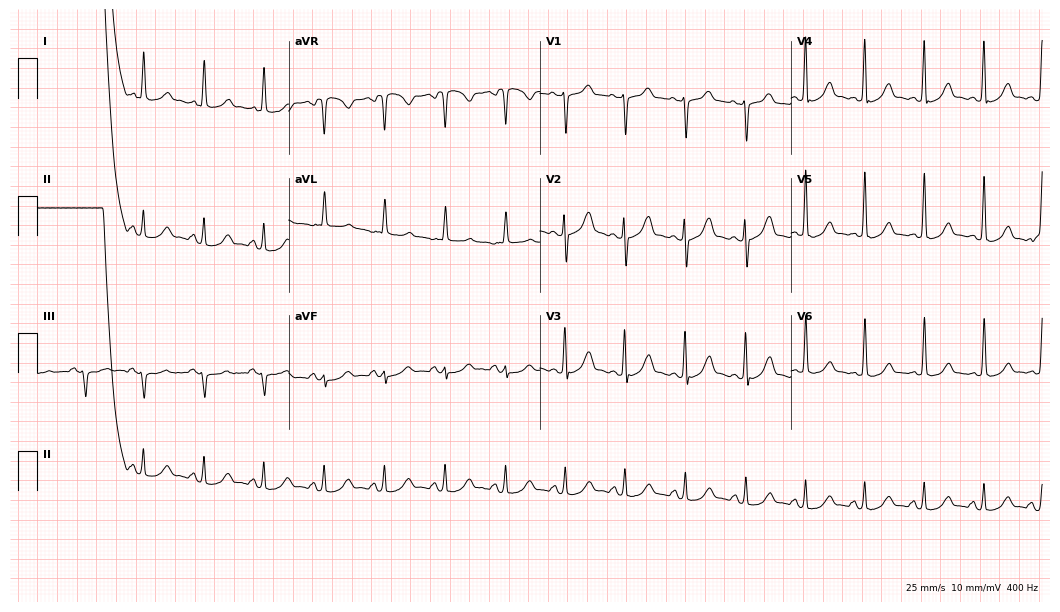
Electrocardiogram, a woman, 62 years old. Of the six screened findings (first-degree AV block, right bundle branch block, left bundle branch block, sinus bradycardia, atrial fibrillation, sinus tachycardia), none is recorded.